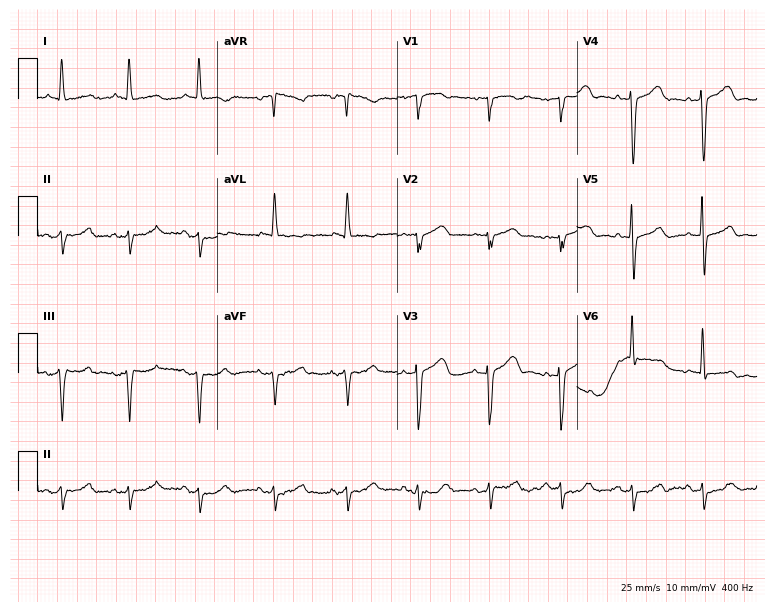
ECG — an 83-year-old woman. Screened for six findings — first-degree AV block, right bundle branch block (RBBB), left bundle branch block (LBBB), sinus bradycardia, atrial fibrillation (AF), sinus tachycardia — none is recorded.